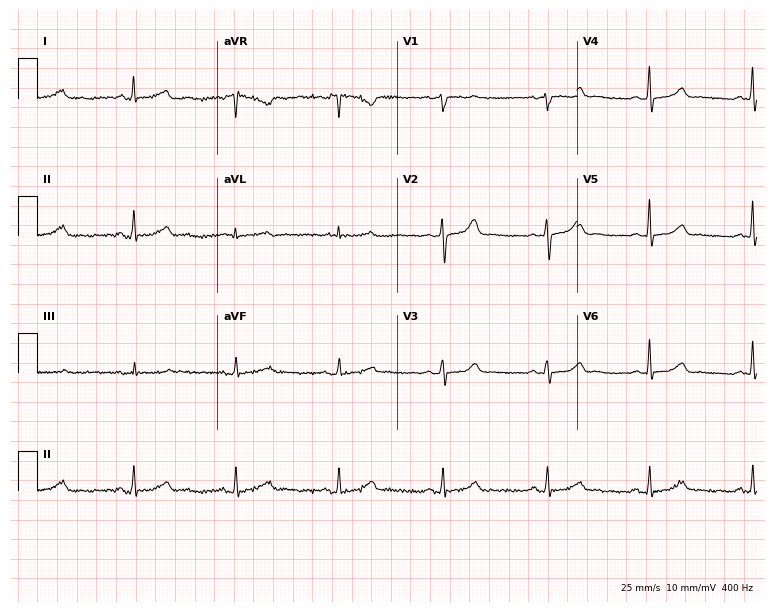
12-lead ECG from a female patient, 71 years old (7.3-second recording at 400 Hz). Recorded interpretation: within normal limits.